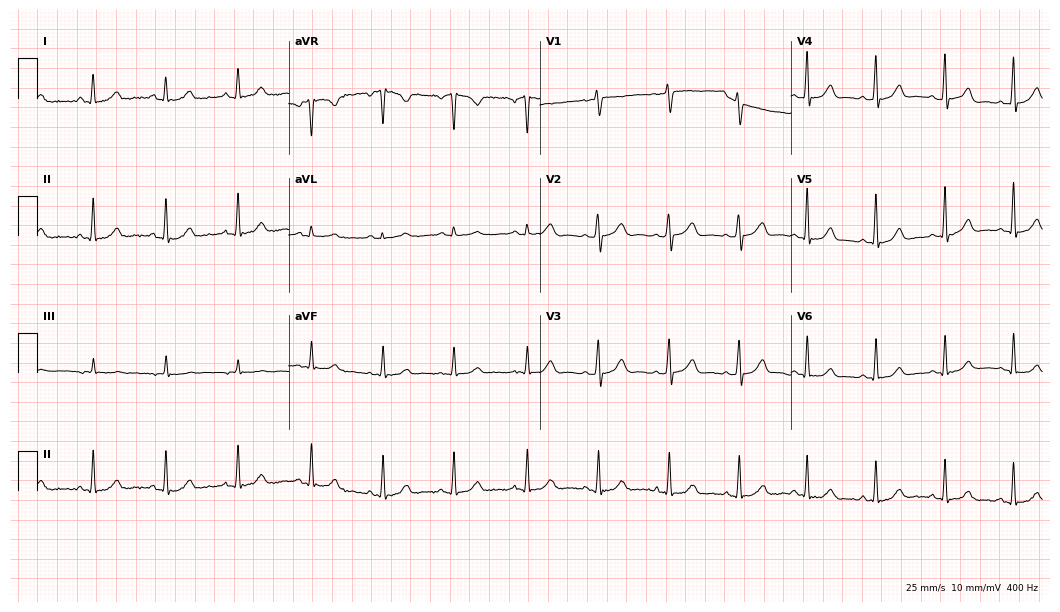
12-lead ECG from a 36-year-old female. No first-degree AV block, right bundle branch block, left bundle branch block, sinus bradycardia, atrial fibrillation or sinus tachycardia recorded for this tracing. Only these six findings were labelled.